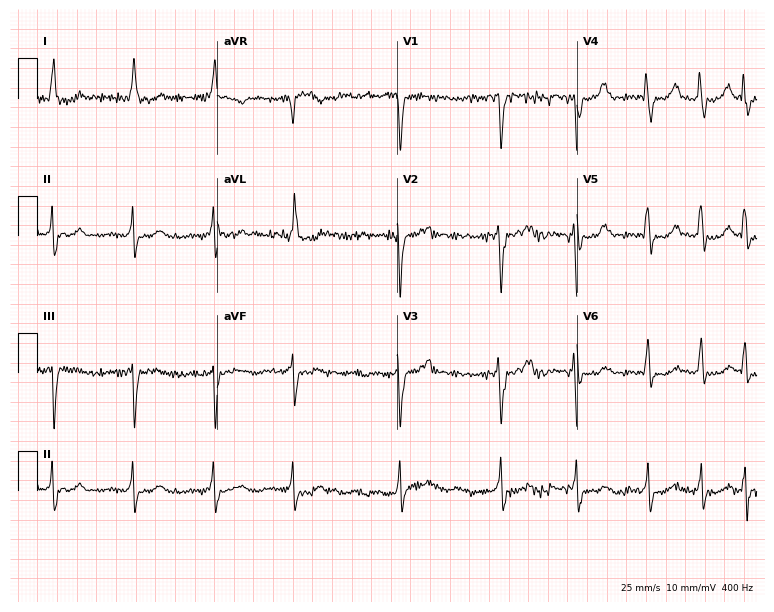
Resting 12-lead electrocardiogram. Patient: a 61-year-old female. The tracing shows left bundle branch block (LBBB), atrial fibrillation (AF).